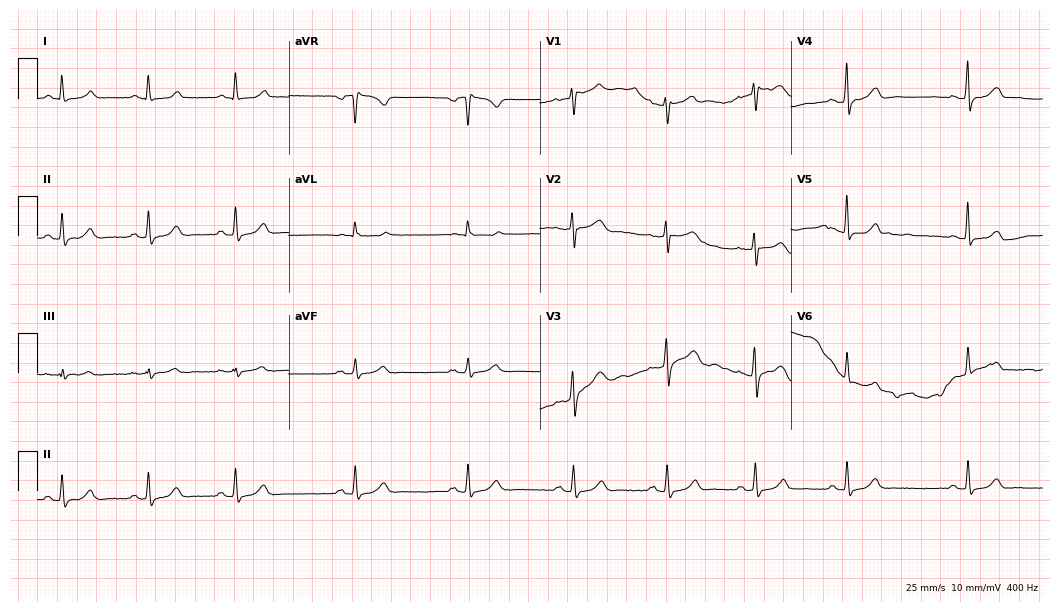
12-lead ECG from a 46-year-old female. Recorded interpretation: within normal limits.